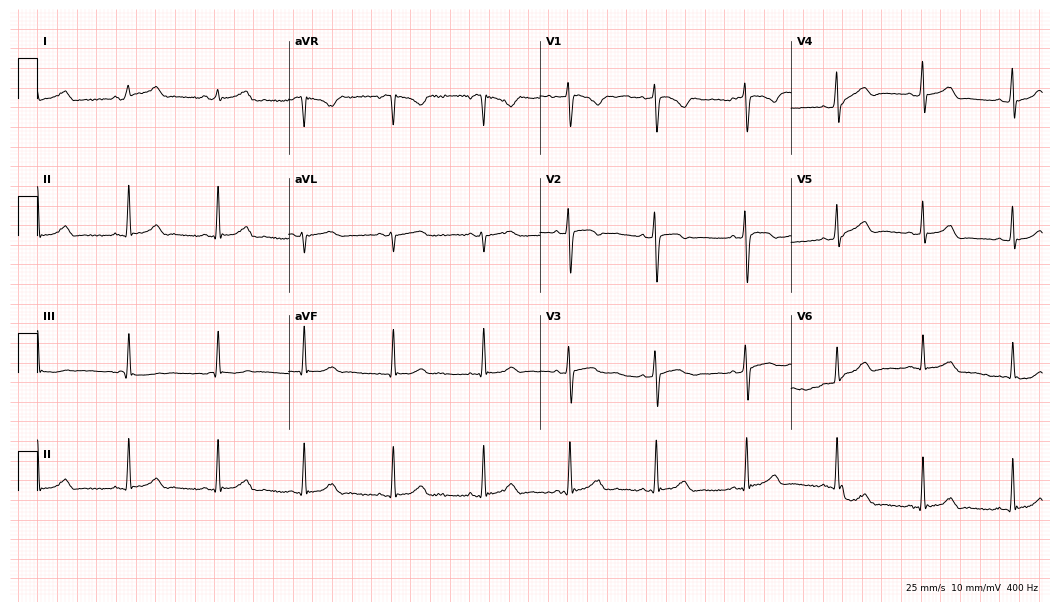
ECG (10.2-second recording at 400 Hz) — a female, 18 years old. Labelled as a normal ECG.